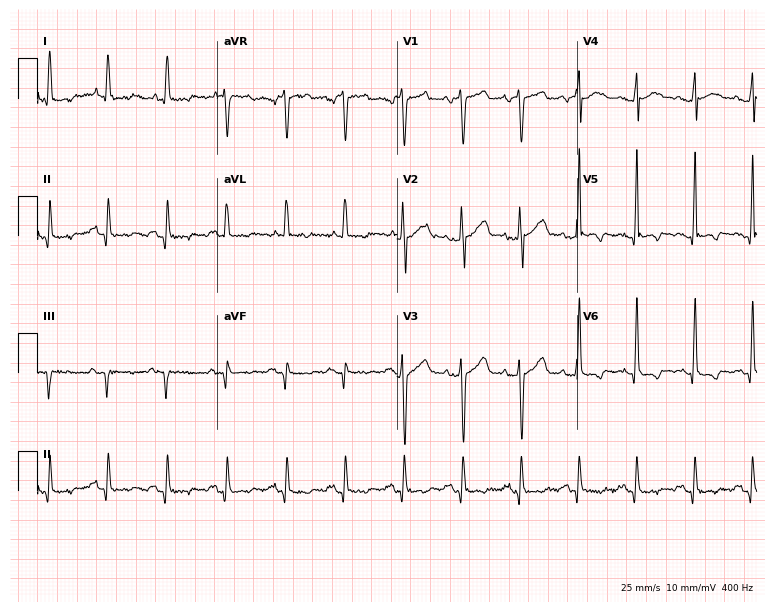
Electrocardiogram (7.3-second recording at 400 Hz), a 53-year-old male. Interpretation includes sinus tachycardia (a sinus rate of 100 beats per minute or more).